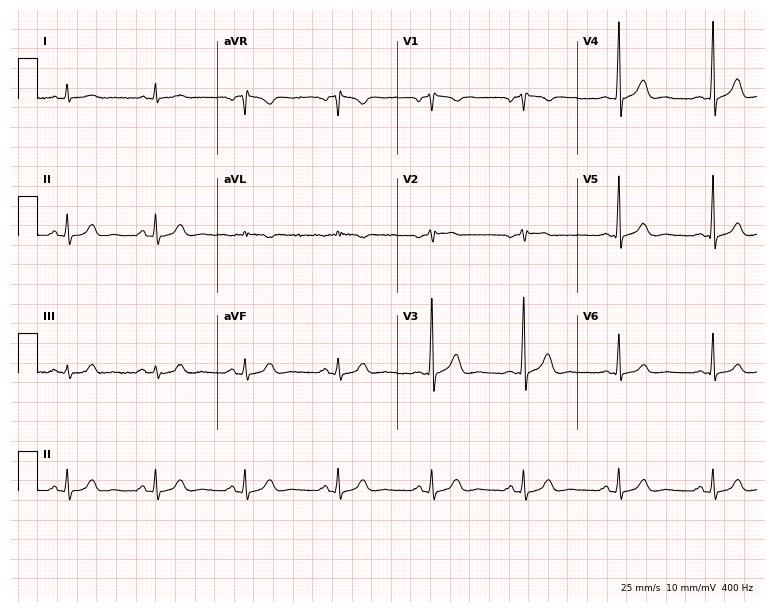
Electrocardiogram (7.3-second recording at 400 Hz), a man, 59 years old. Of the six screened findings (first-degree AV block, right bundle branch block, left bundle branch block, sinus bradycardia, atrial fibrillation, sinus tachycardia), none is recorded. Other findings, if any, are not listed.